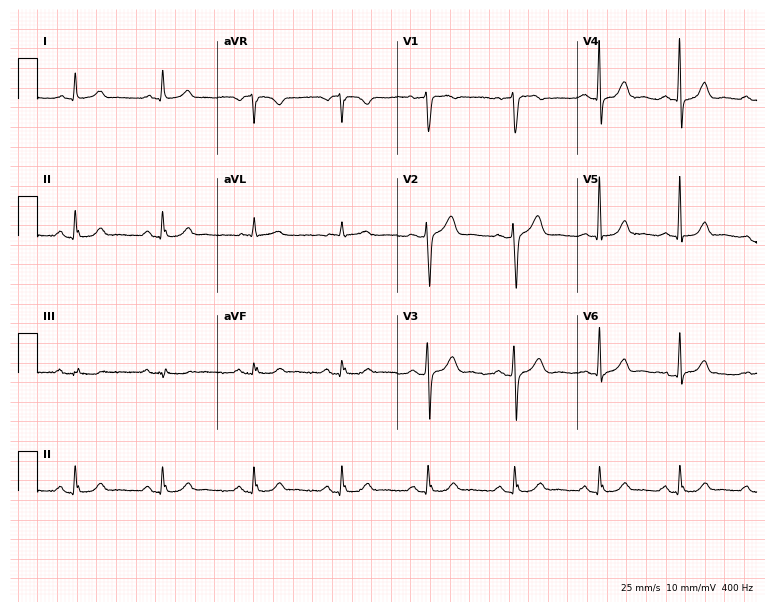
Electrocardiogram, a 61-year-old male patient. Overall reading on record: normal ECG.